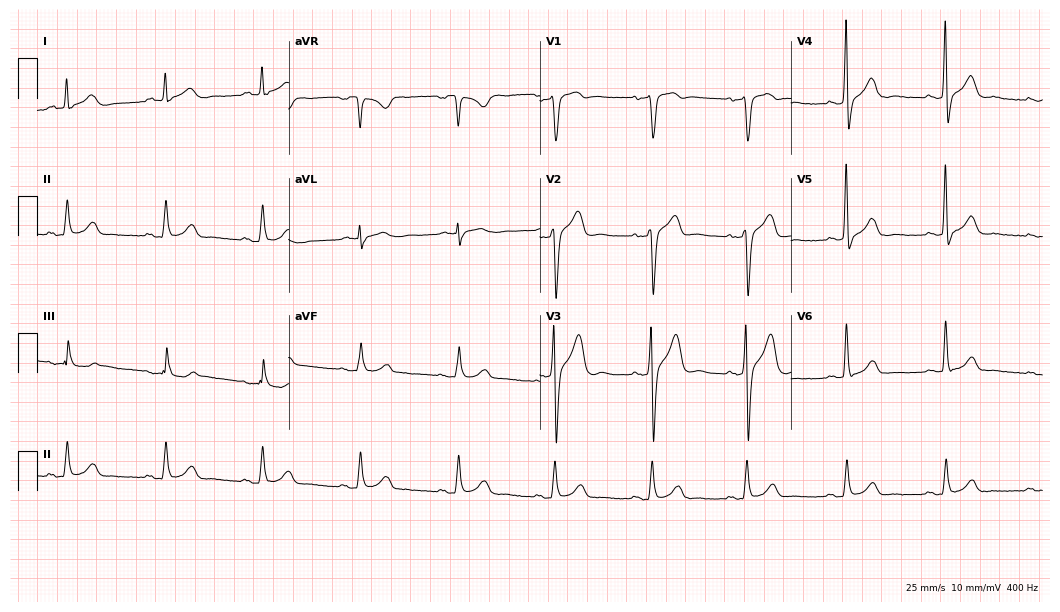
Standard 12-lead ECG recorded from a male, 55 years old (10.2-second recording at 400 Hz). None of these six findings is recorded: first-degree AV block, right bundle branch block (RBBB), left bundle branch block (LBBB), sinus bradycardia, atrial fibrillation (AF), sinus tachycardia. Other findings, if any, are not listed.